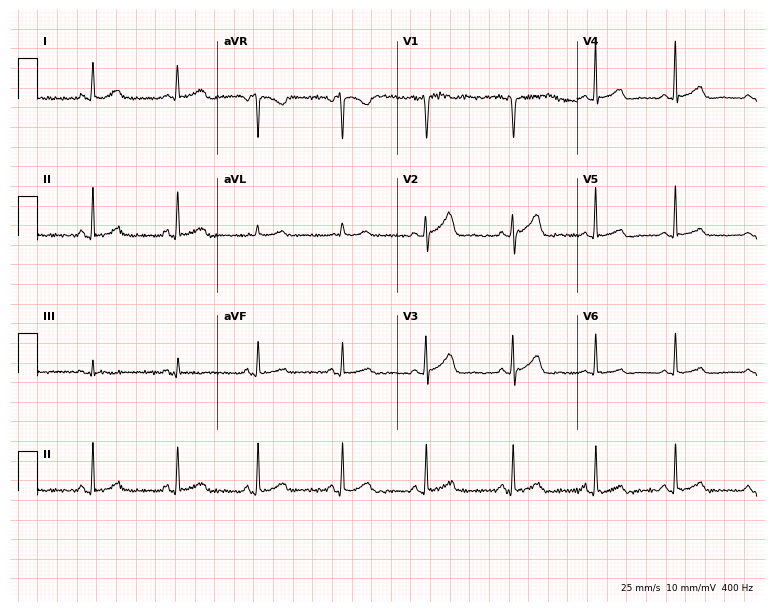
Resting 12-lead electrocardiogram. Patient: a female, 46 years old. Read as a normal ECG.